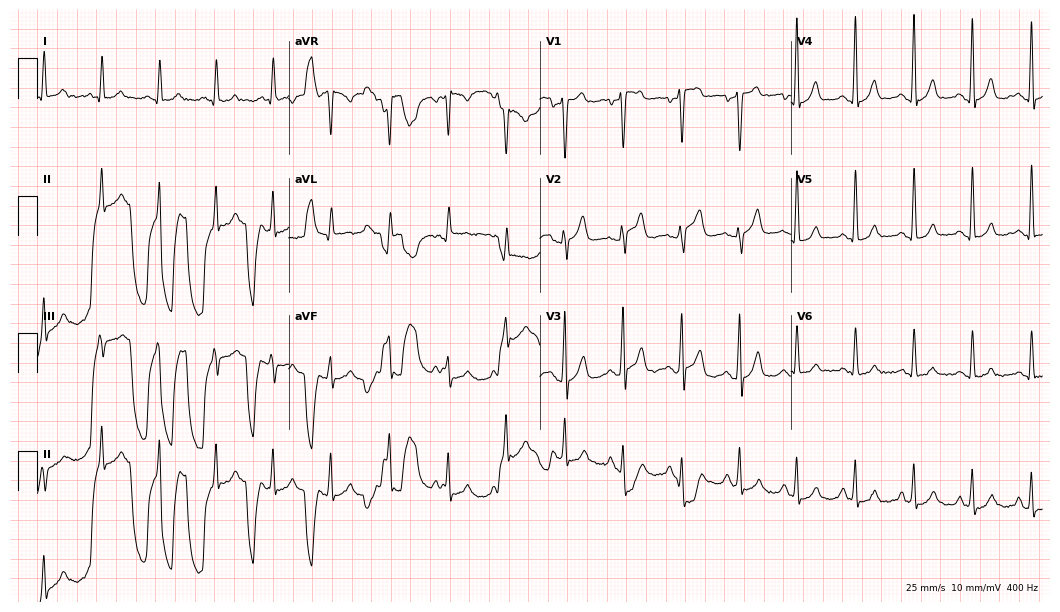
Standard 12-lead ECG recorded from a 58-year-old male patient. None of these six findings is recorded: first-degree AV block, right bundle branch block (RBBB), left bundle branch block (LBBB), sinus bradycardia, atrial fibrillation (AF), sinus tachycardia. Findings outside these six are not listed.